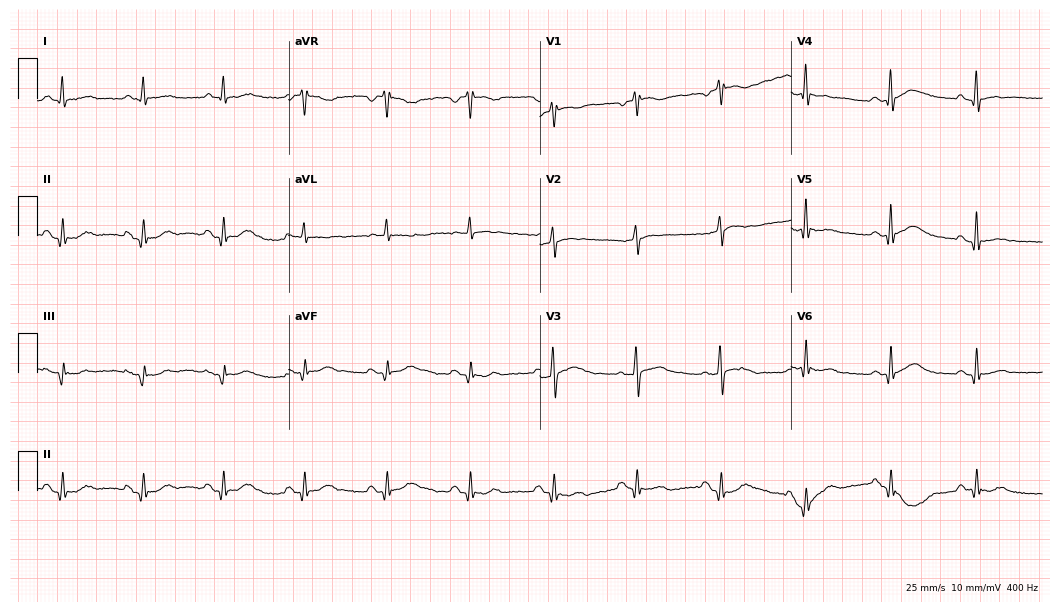
12-lead ECG from a 46-year-old male. Screened for six findings — first-degree AV block, right bundle branch block, left bundle branch block, sinus bradycardia, atrial fibrillation, sinus tachycardia — none is recorded.